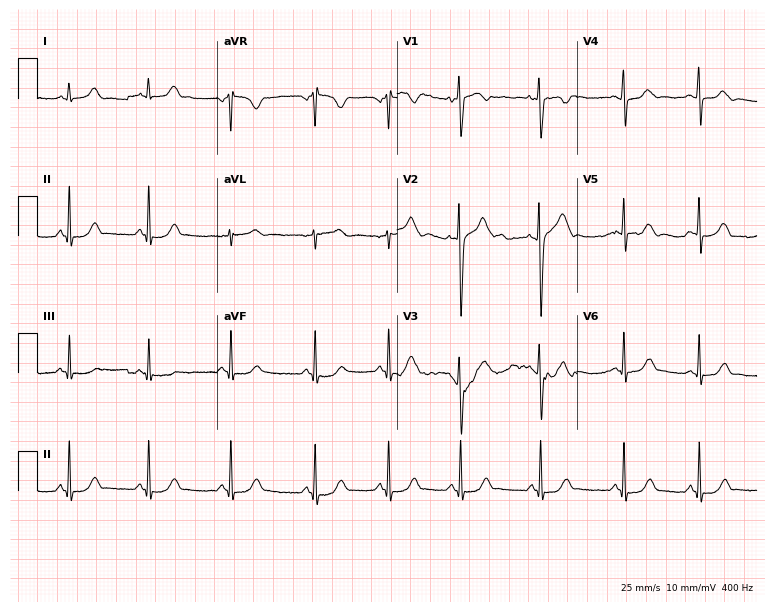
12-lead ECG from a 19-year-old female. Screened for six findings — first-degree AV block, right bundle branch block, left bundle branch block, sinus bradycardia, atrial fibrillation, sinus tachycardia — none is recorded. Only these six findings were labelled.